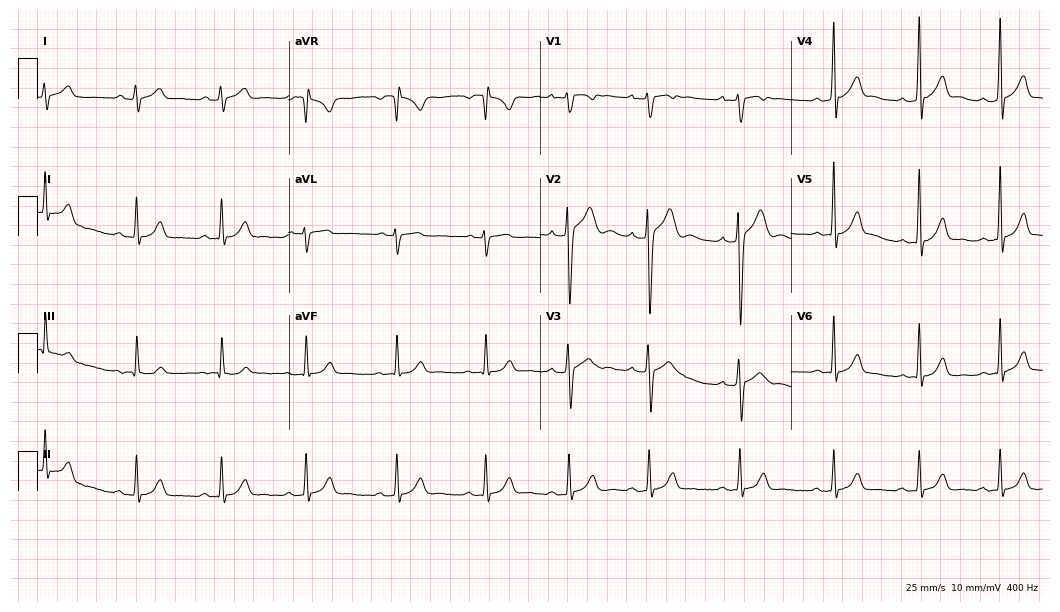
Standard 12-lead ECG recorded from a male, 18 years old (10.2-second recording at 400 Hz). Read as a normal ECG.